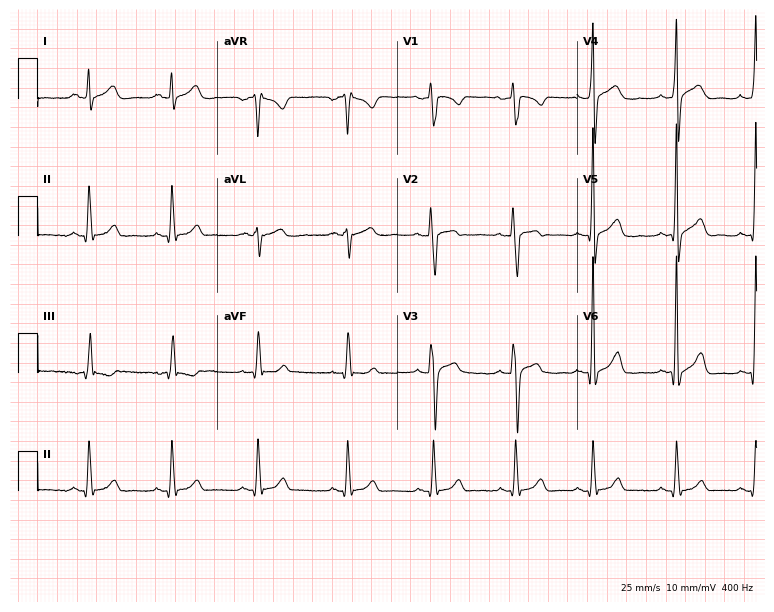
Resting 12-lead electrocardiogram (7.3-second recording at 400 Hz). Patient: a 21-year-old man. Read as a normal ECG.